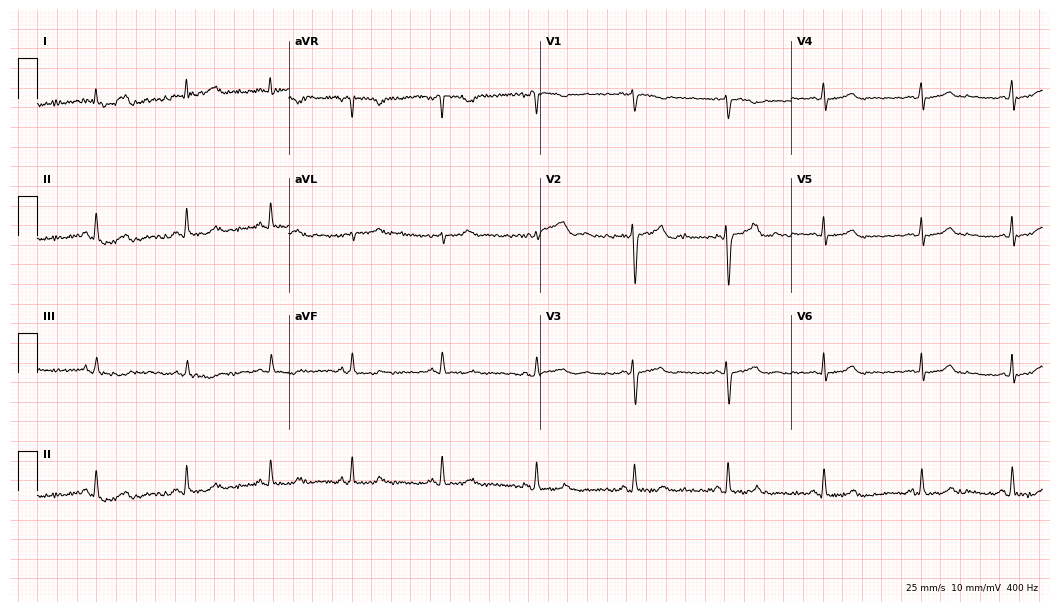
Electrocardiogram, a female, 21 years old. Overall reading on record: normal ECG.